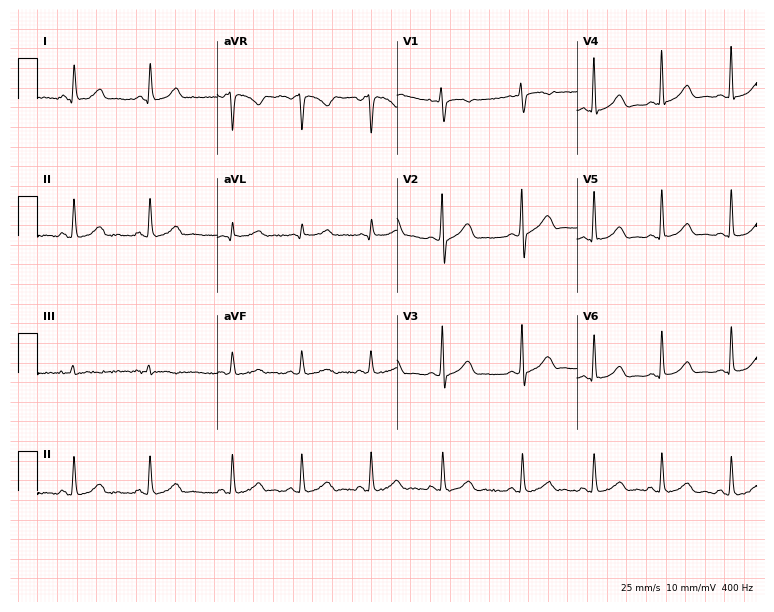
12-lead ECG from a 40-year-old female patient. No first-degree AV block, right bundle branch block (RBBB), left bundle branch block (LBBB), sinus bradycardia, atrial fibrillation (AF) or sinus tachycardia recorded for this tracing.